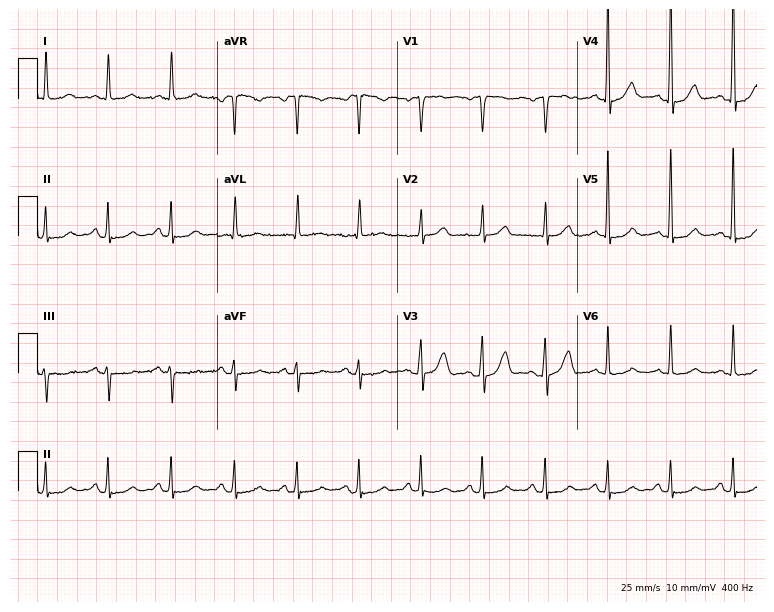
12-lead ECG from a 67-year-old male patient. Recorded interpretation: within normal limits.